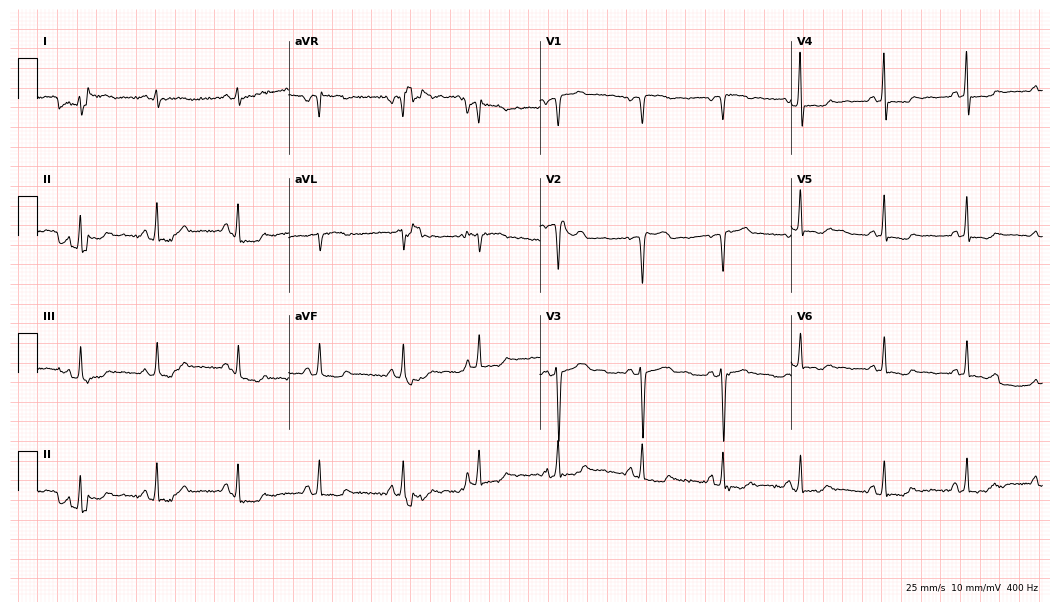
12-lead ECG (10.2-second recording at 400 Hz) from a woman, 34 years old. Screened for six findings — first-degree AV block, right bundle branch block, left bundle branch block, sinus bradycardia, atrial fibrillation, sinus tachycardia — none is recorded.